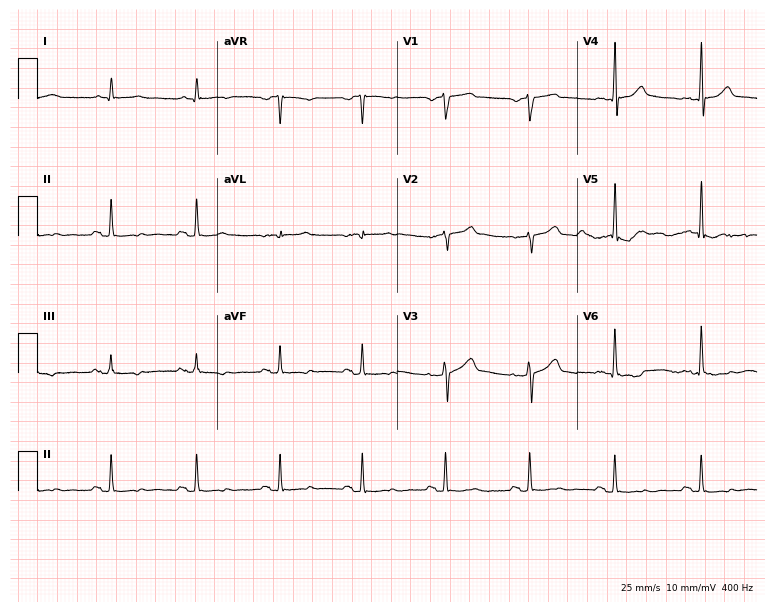
12-lead ECG from a man, 61 years old. No first-degree AV block, right bundle branch block, left bundle branch block, sinus bradycardia, atrial fibrillation or sinus tachycardia recorded for this tracing. Findings outside these six are not listed.